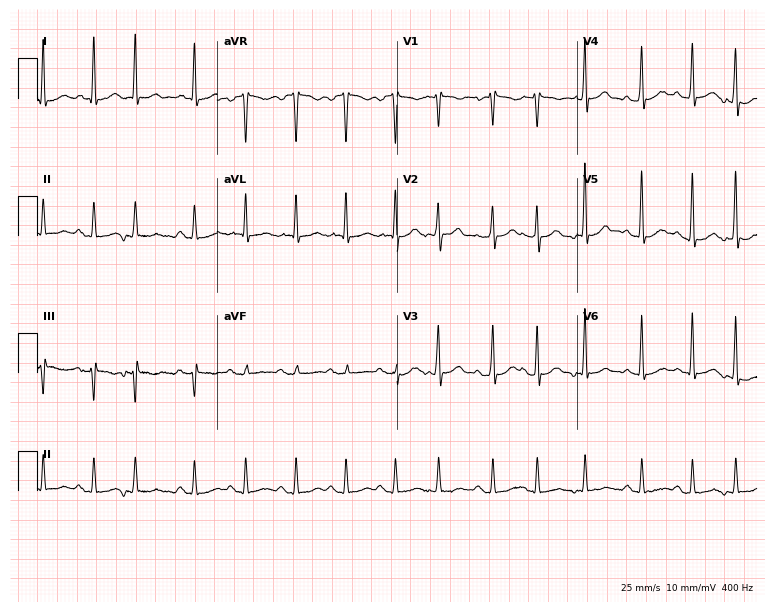
Electrocardiogram (7.3-second recording at 400 Hz), a male, 74 years old. Of the six screened findings (first-degree AV block, right bundle branch block, left bundle branch block, sinus bradycardia, atrial fibrillation, sinus tachycardia), none is recorded.